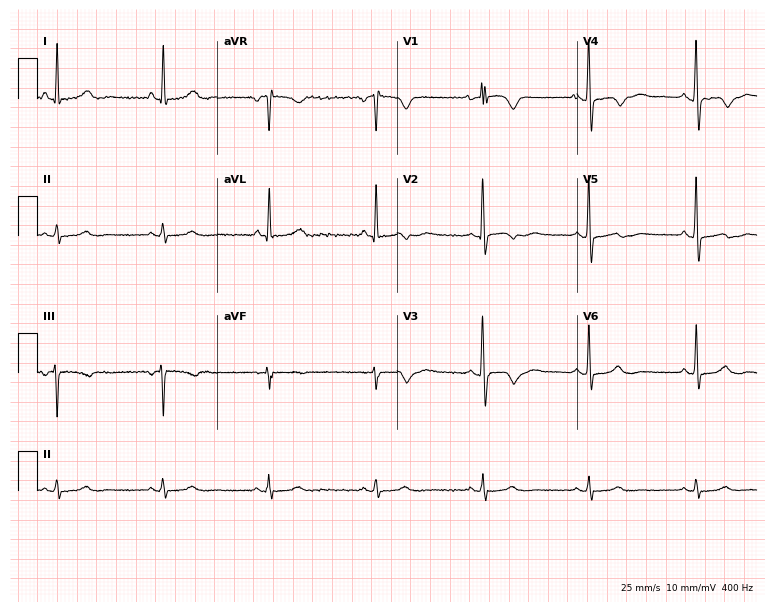
Standard 12-lead ECG recorded from a female, 60 years old. Read as a normal ECG.